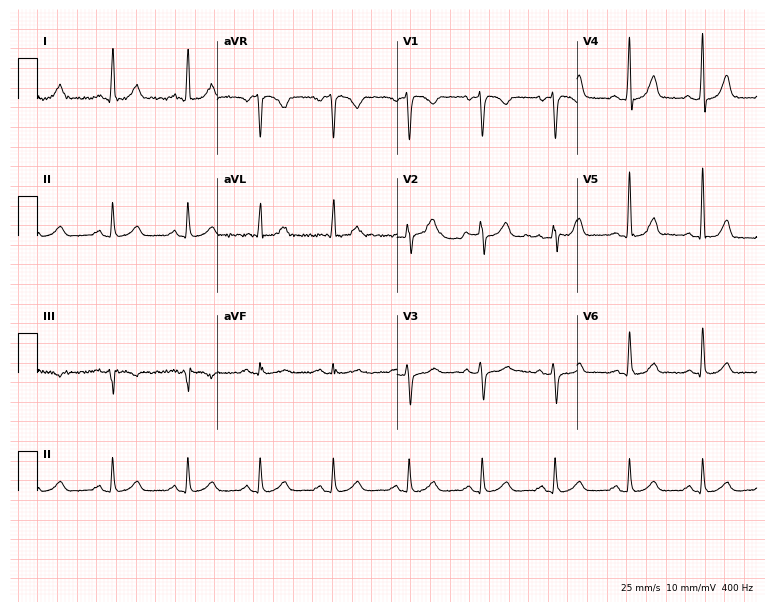
Resting 12-lead electrocardiogram. Patient: a 44-year-old female. Read as a normal ECG.